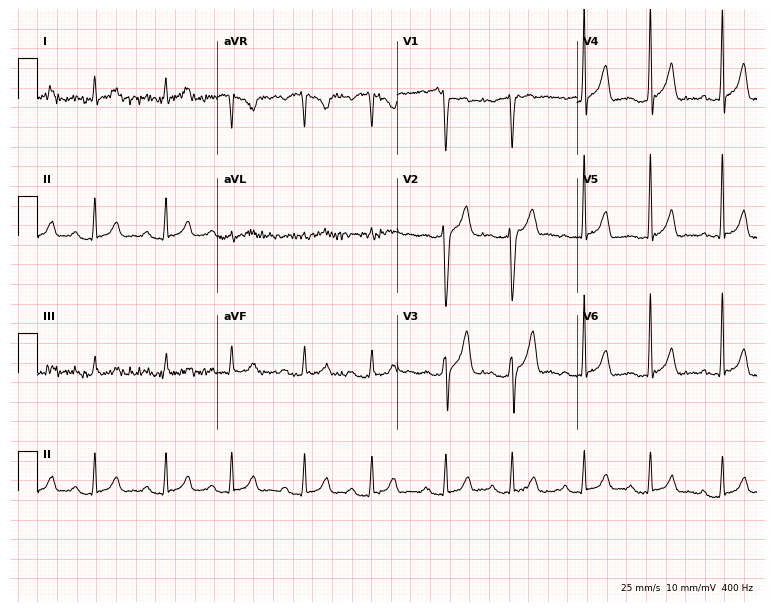
12-lead ECG from a 37-year-old male. Screened for six findings — first-degree AV block, right bundle branch block, left bundle branch block, sinus bradycardia, atrial fibrillation, sinus tachycardia — none is recorded.